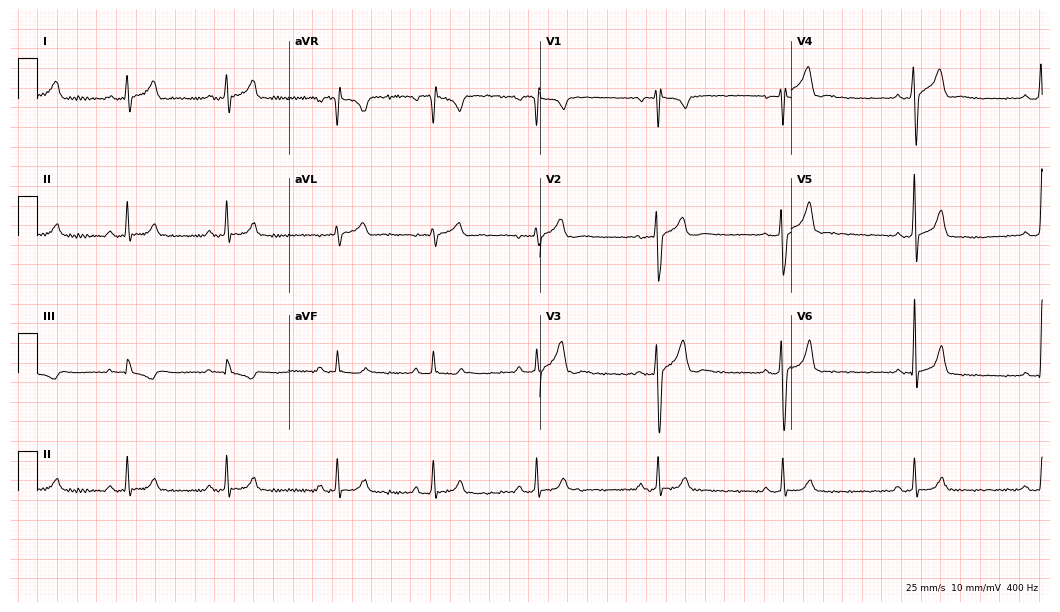
ECG (10.2-second recording at 400 Hz) — a male, 21 years old. Screened for six findings — first-degree AV block, right bundle branch block, left bundle branch block, sinus bradycardia, atrial fibrillation, sinus tachycardia — none is recorded. Other findings, if any, are not listed.